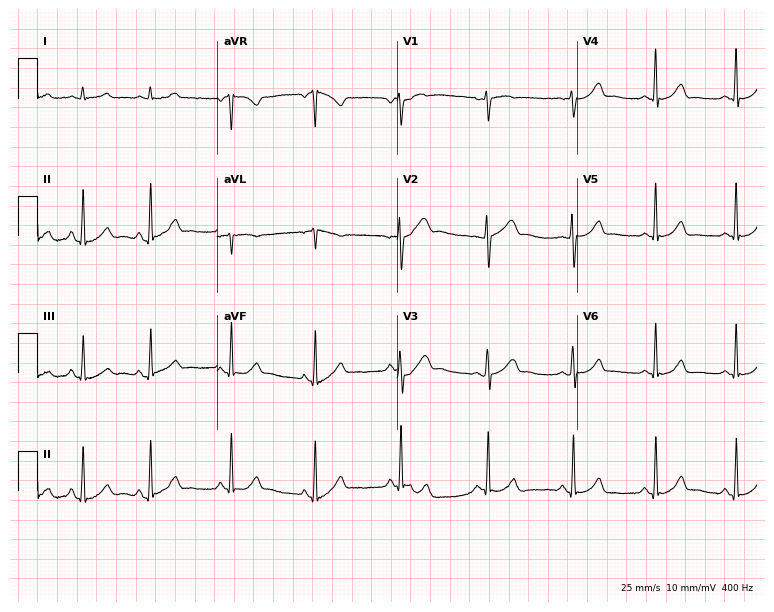
12-lead ECG (7.3-second recording at 400 Hz) from a female patient, 39 years old. Screened for six findings — first-degree AV block, right bundle branch block, left bundle branch block, sinus bradycardia, atrial fibrillation, sinus tachycardia — none is recorded.